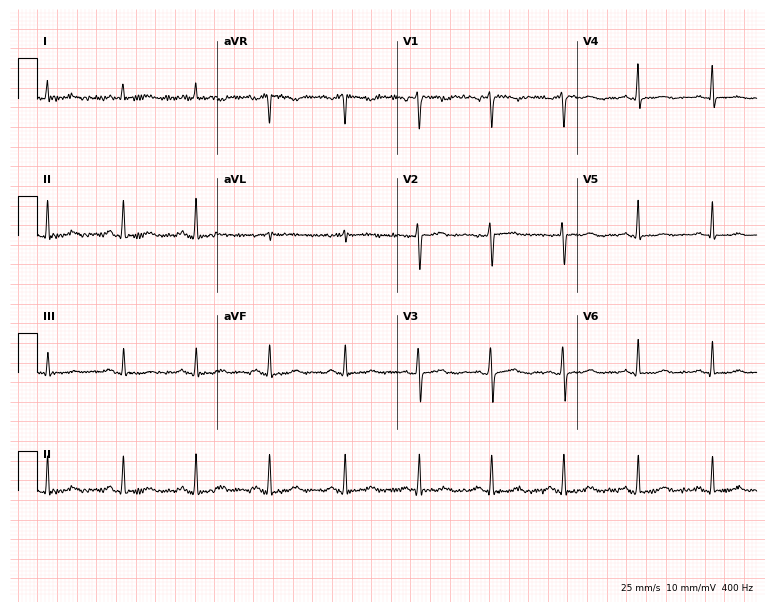
ECG (7.3-second recording at 400 Hz) — a female patient, 52 years old. Screened for six findings — first-degree AV block, right bundle branch block, left bundle branch block, sinus bradycardia, atrial fibrillation, sinus tachycardia — none is recorded.